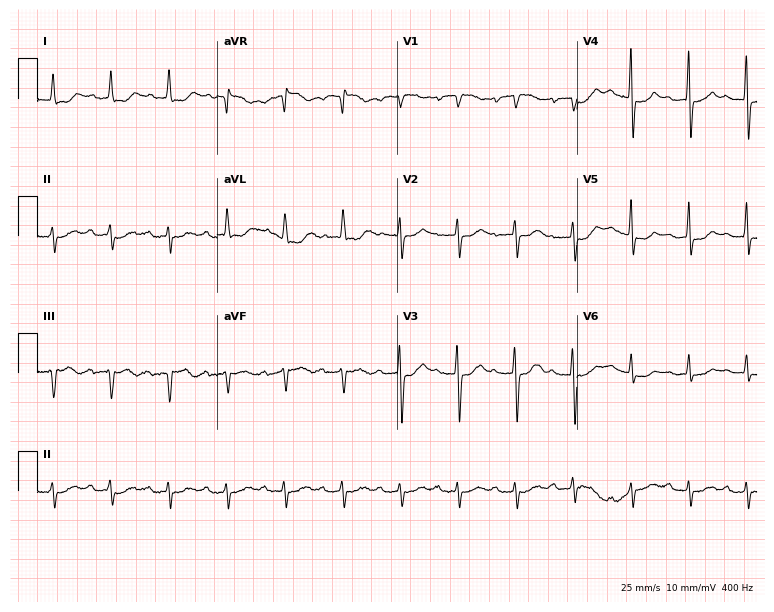
ECG — a female patient, 82 years old. Findings include first-degree AV block.